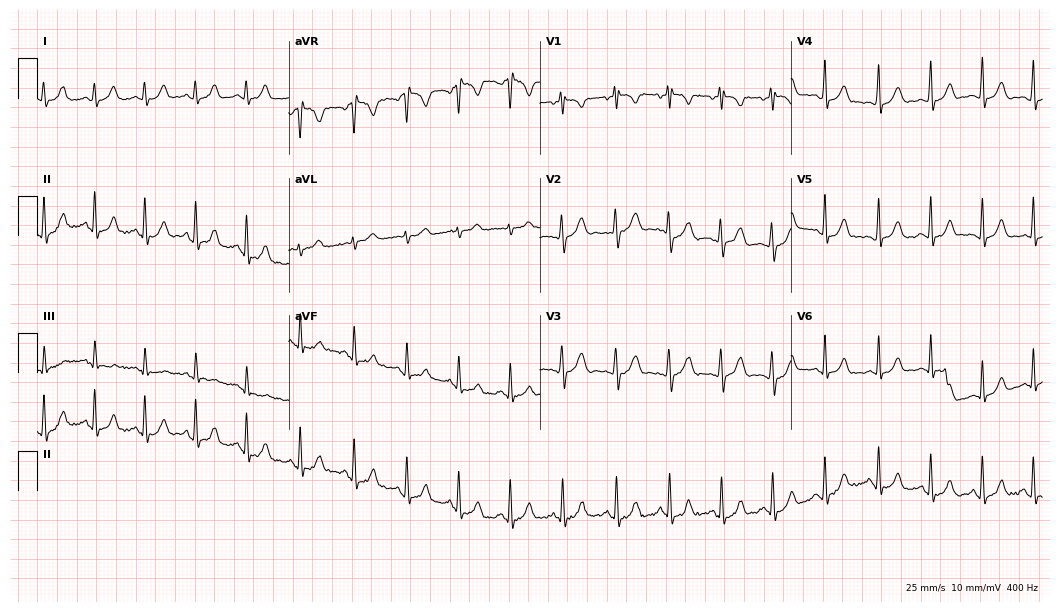
12-lead ECG from an 18-year-old woman (10.2-second recording at 400 Hz). Shows sinus tachycardia (a sinus rate of 100 beats per minute or more).